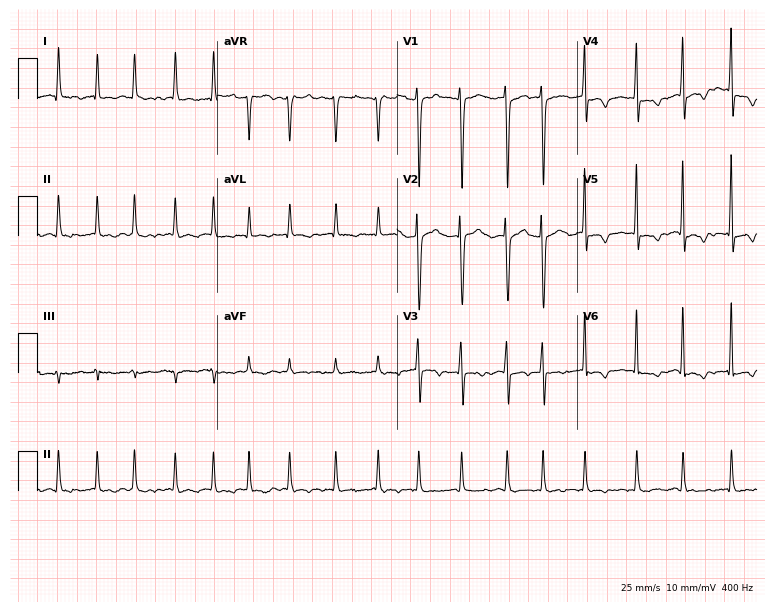
Electrocardiogram, a 78-year-old female patient. Interpretation includes atrial fibrillation (AF).